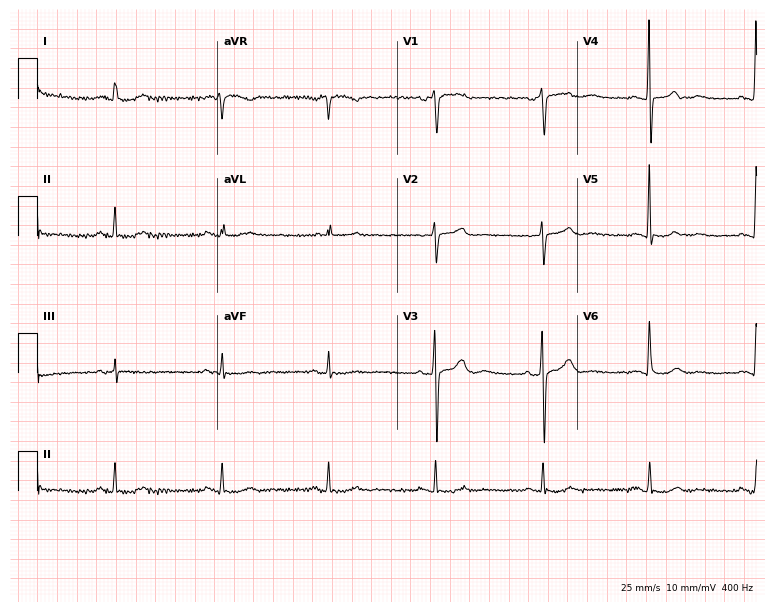
Standard 12-lead ECG recorded from a male, 73 years old. Read as a normal ECG.